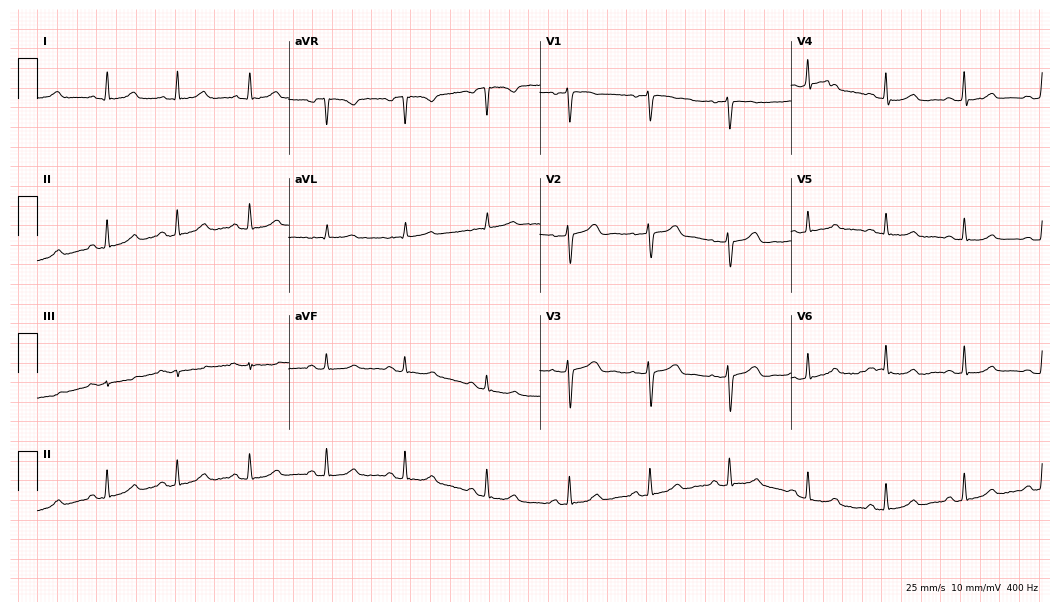
Standard 12-lead ECG recorded from a 43-year-old female patient. Read as a normal ECG.